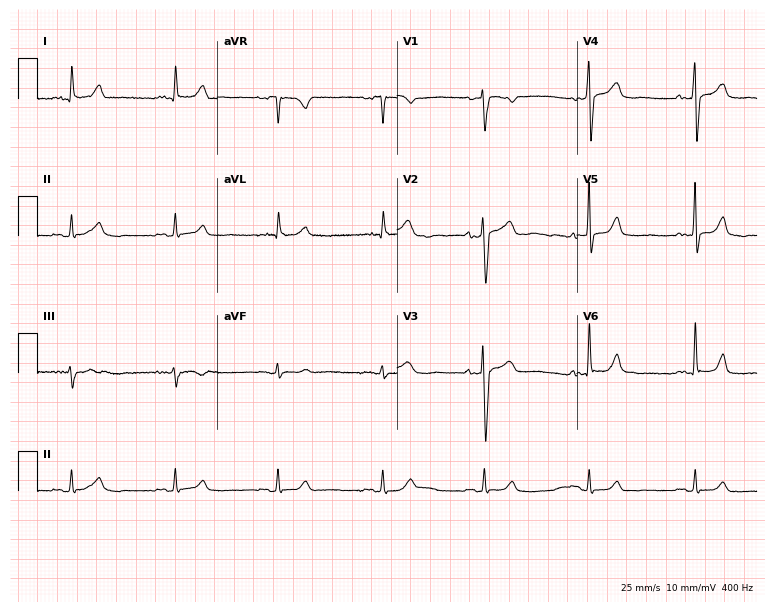
12-lead ECG from a 70-year-old male patient. Labelled as a normal ECG.